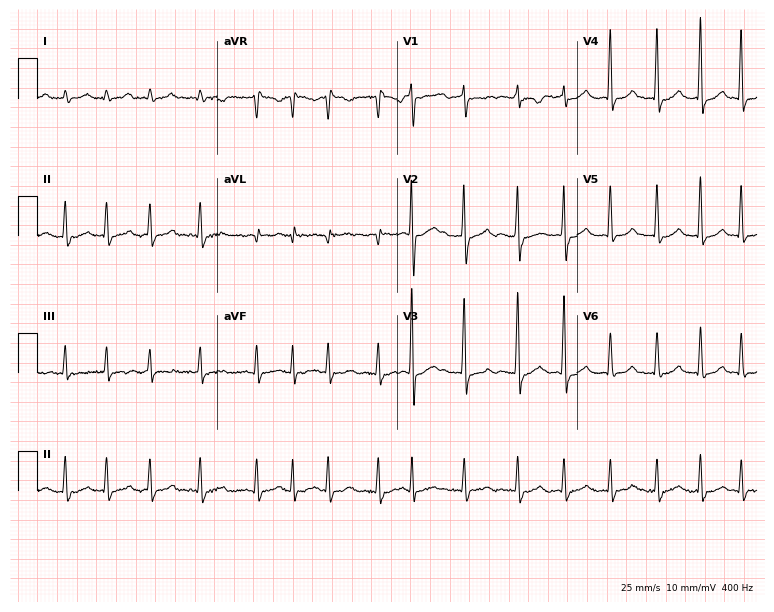
12-lead ECG (7.3-second recording at 400 Hz) from a 78-year-old female. Findings include atrial fibrillation.